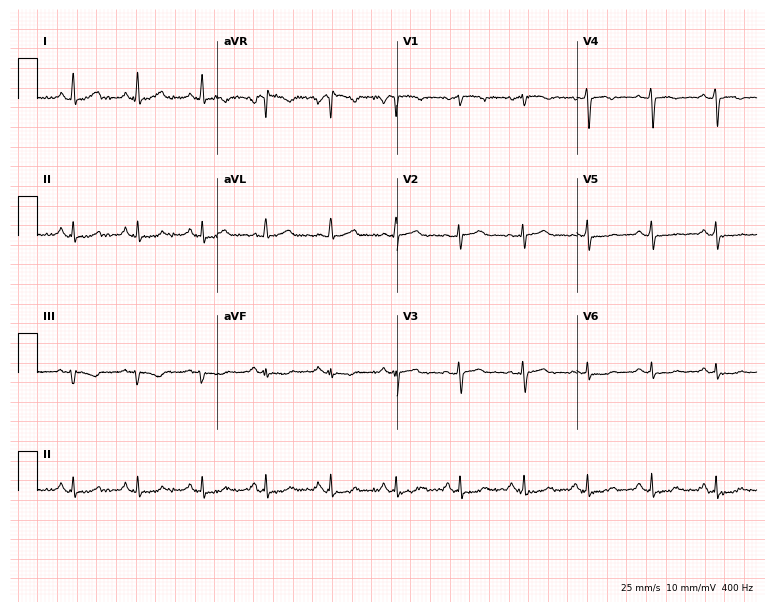
12-lead ECG from a woman, 70 years old (7.3-second recording at 400 Hz). No first-degree AV block, right bundle branch block, left bundle branch block, sinus bradycardia, atrial fibrillation or sinus tachycardia recorded for this tracing. Other findings, if any, are not listed.